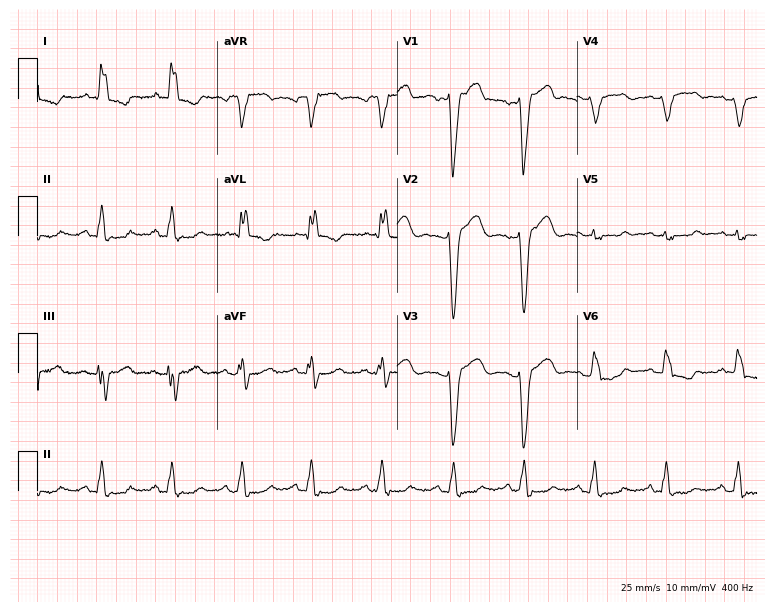
12-lead ECG (7.3-second recording at 400 Hz) from a woman, 51 years old. Screened for six findings — first-degree AV block, right bundle branch block (RBBB), left bundle branch block (LBBB), sinus bradycardia, atrial fibrillation (AF), sinus tachycardia — none is recorded.